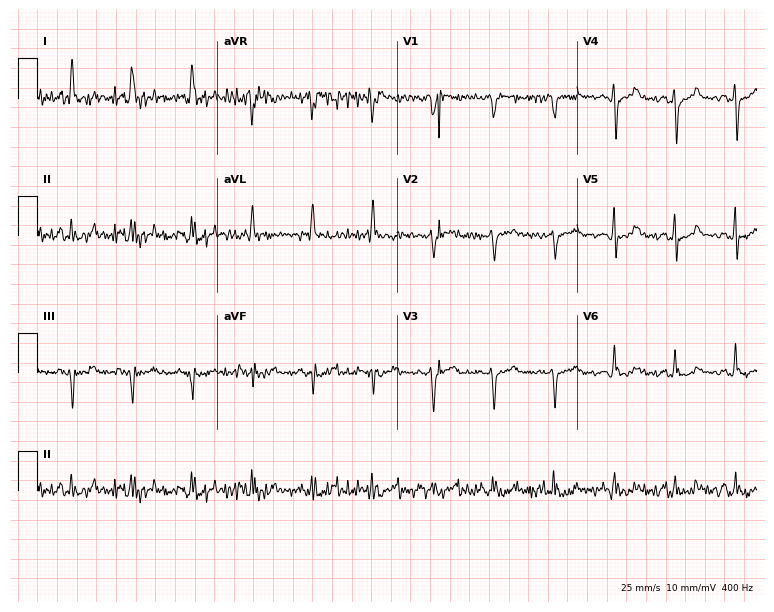
12-lead ECG (7.3-second recording at 400 Hz) from a female, 65 years old. Screened for six findings — first-degree AV block, right bundle branch block, left bundle branch block, sinus bradycardia, atrial fibrillation, sinus tachycardia — none is recorded. Other findings, if any, are not listed.